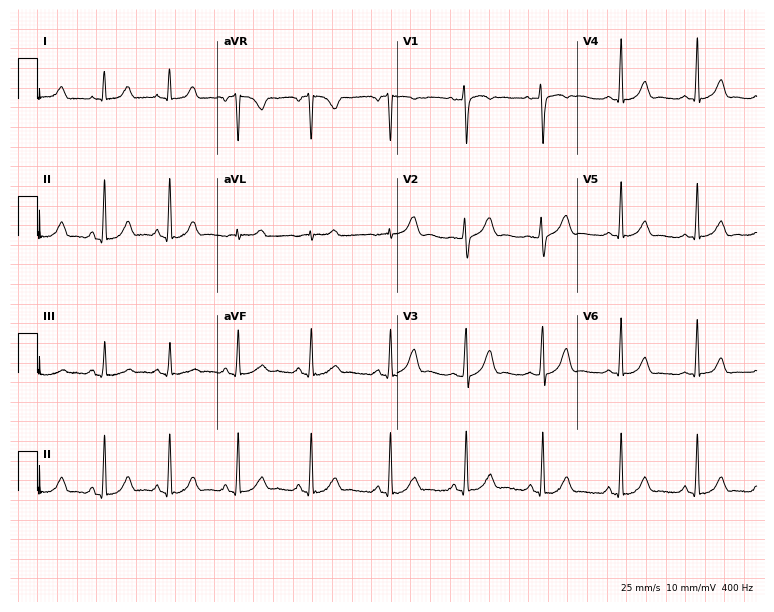
12-lead ECG (7.3-second recording at 400 Hz) from a 28-year-old woman. Labelled as a normal ECG.